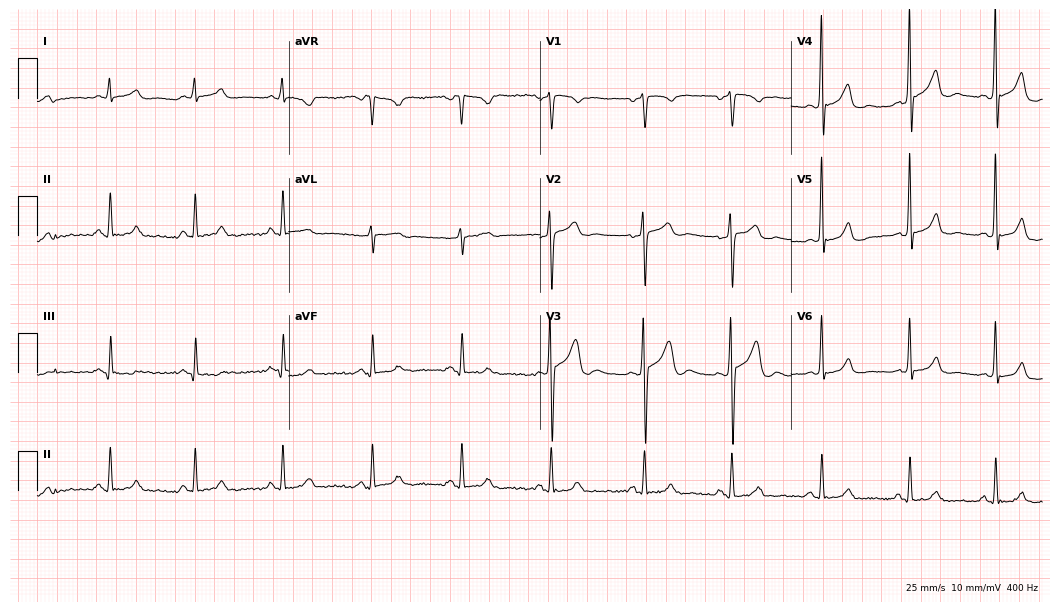
12-lead ECG (10.2-second recording at 400 Hz) from a 38-year-old male patient. Screened for six findings — first-degree AV block, right bundle branch block (RBBB), left bundle branch block (LBBB), sinus bradycardia, atrial fibrillation (AF), sinus tachycardia — none is recorded.